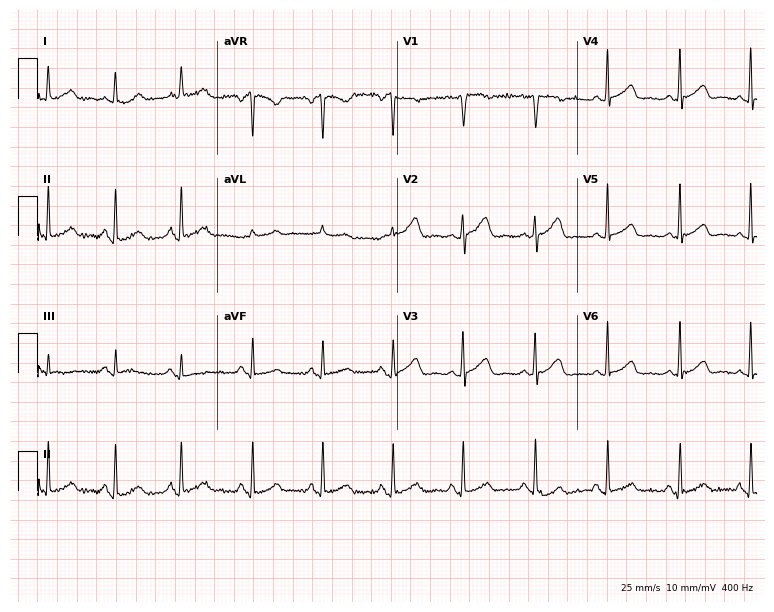
12-lead ECG from a female, 44 years old (7.3-second recording at 400 Hz). Recorded interpretation: within normal limits.